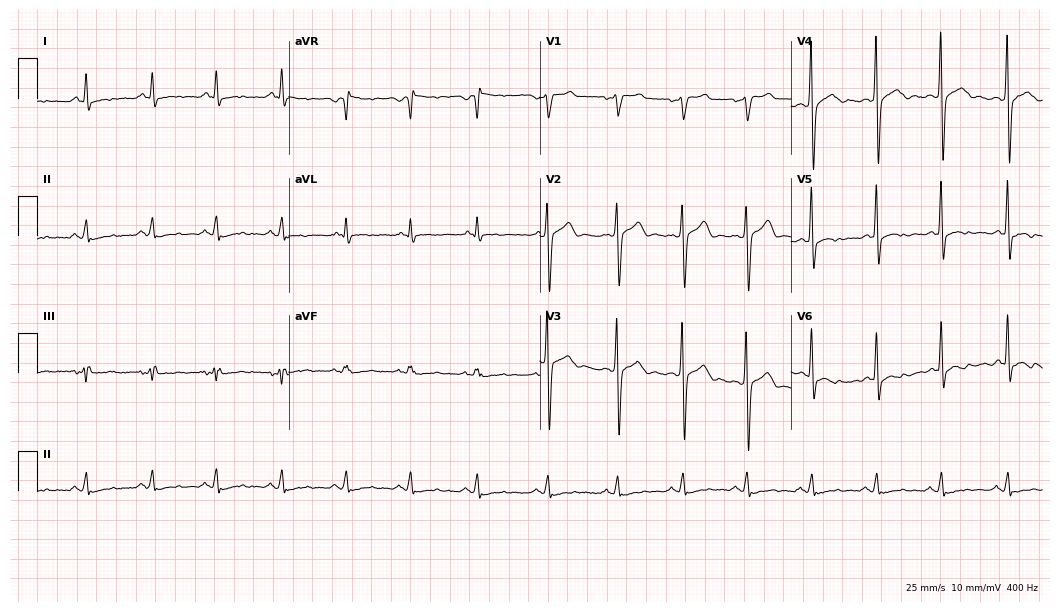
12-lead ECG from a man, 45 years old. Screened for six findings — first-degree AV block, right bundle branch block, left bundle branch block, sinus bradycardia, atrial fibrillation, sinus tachycardia — none is recorded.